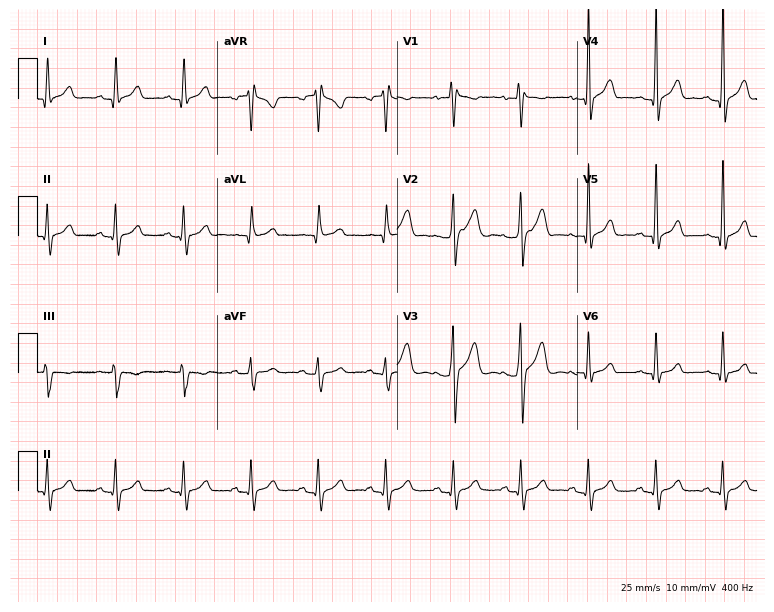
12-lead ECG from a male patient, 75 years old (7.3-second recording at 400 Hz). No first-degree AV block, right bundle branch block (RBBB), left bundle branch block (LBBB), sinus bradycardia, atrial fibrillation (AF) or sinus tachycardia recorded for this tracing. Other findings, if any, are not listed.